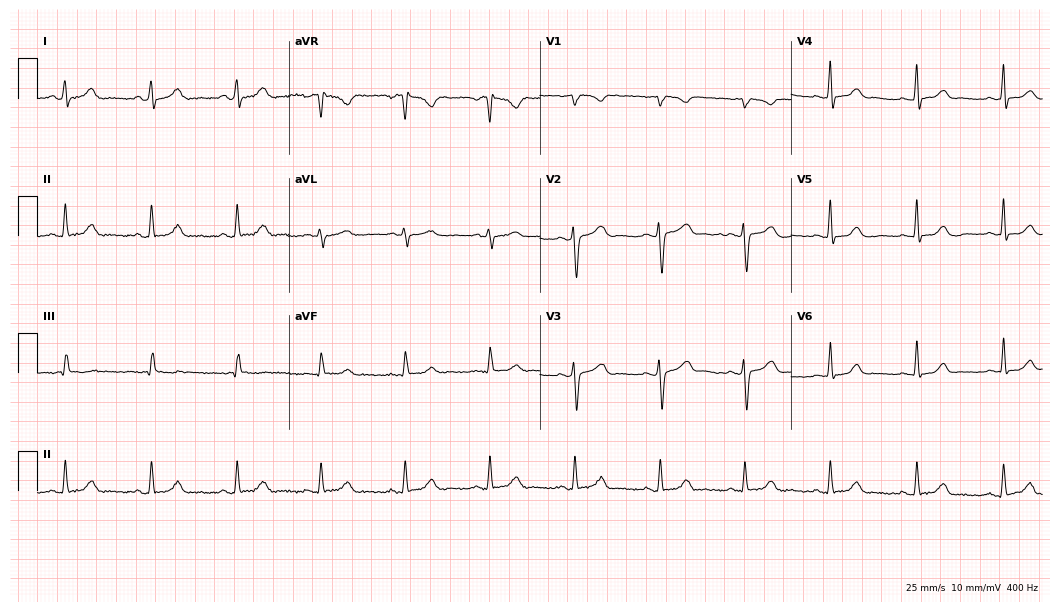
12-lead ECG from a female, 27 years old. Labelled as a normal ECG.